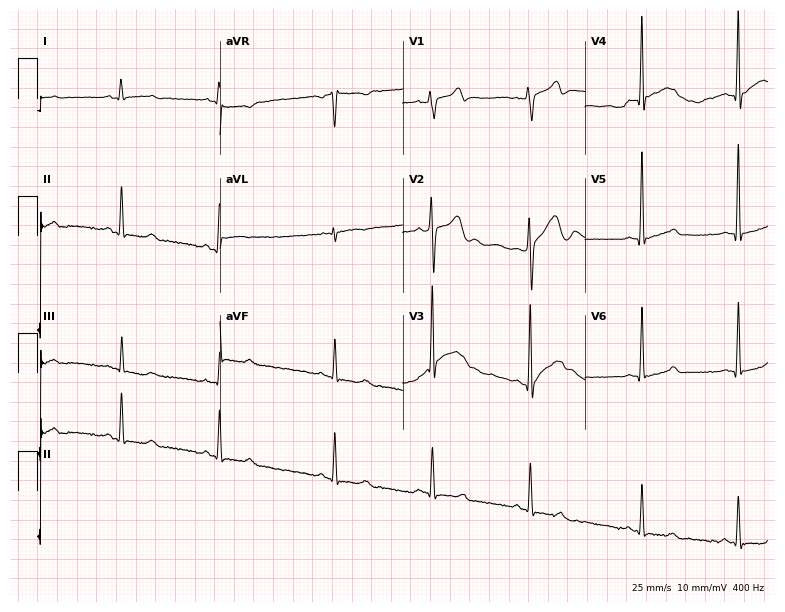
Standard 12-lead ECG recorded from a male patient, 26 years old. None of these six findings is recorded: first-degree AV block, right bundle branch block, left bundle branch block, sinus bradycardia, atrial fibrillation, sinus tachycardia.